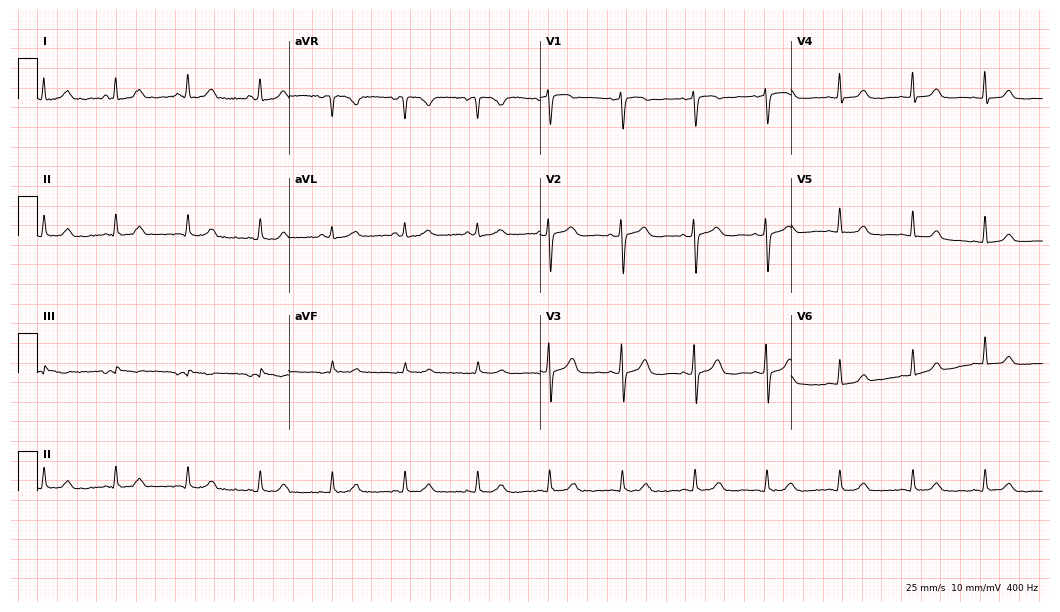
Resting 12-lead electrocardiogram (10.2-second recording at 400 Hz). Patient: a 73-year-old female. Read as a normal ECG.